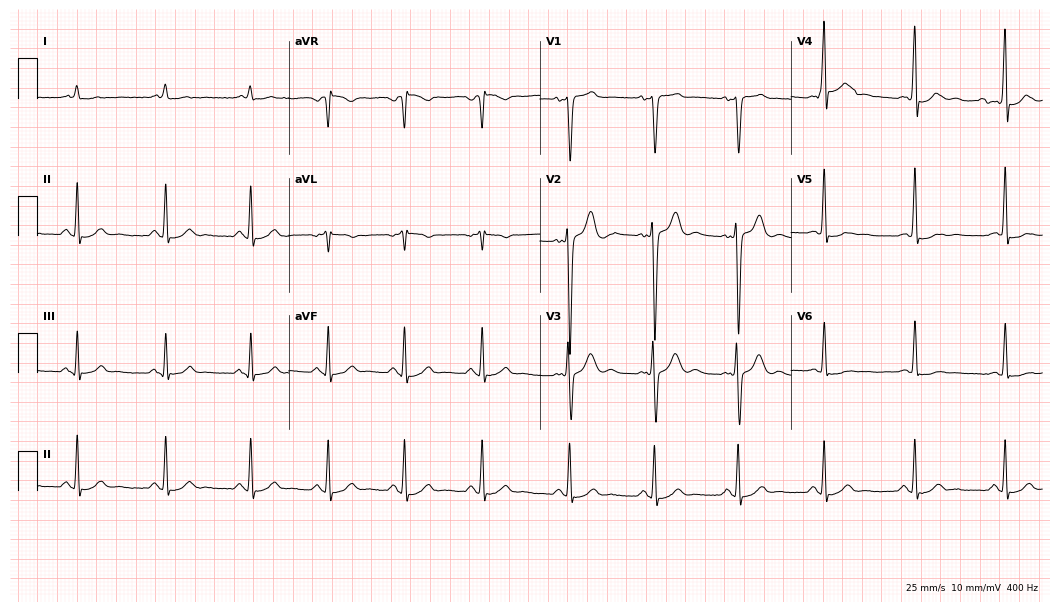
Standard 12-lead ECG recorded from a male, 20 years old (10.2-second recording at 400 Hz). Read as a normal ECG.